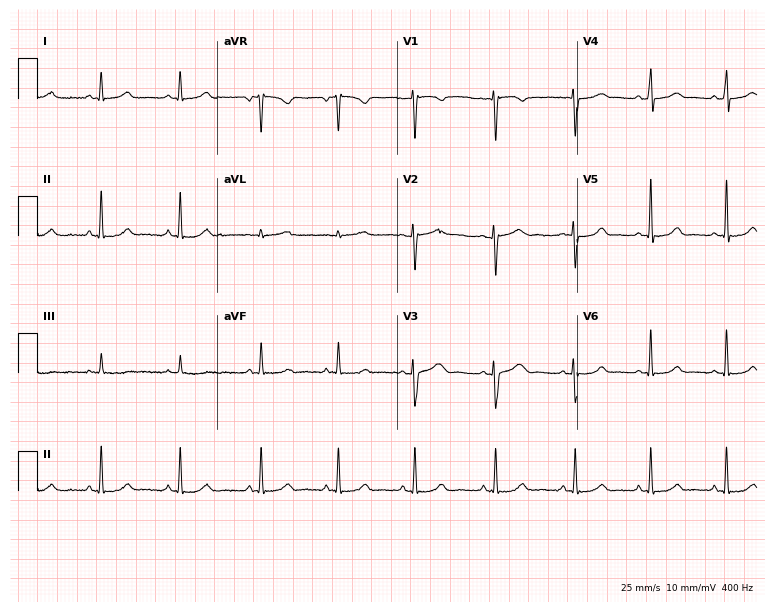
ECG — a female, 23 years old. Labelled as a normal ECG.